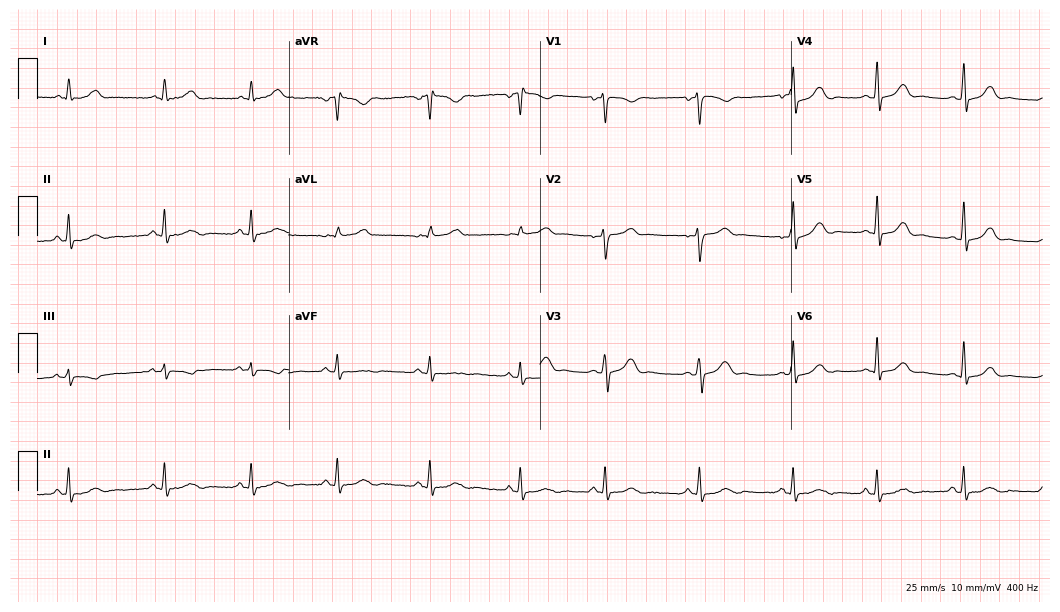
Electrocardiogram (10.2-second recording at 400 Hz), a 34-year-old woman. Overall reading on record: normal ECG.